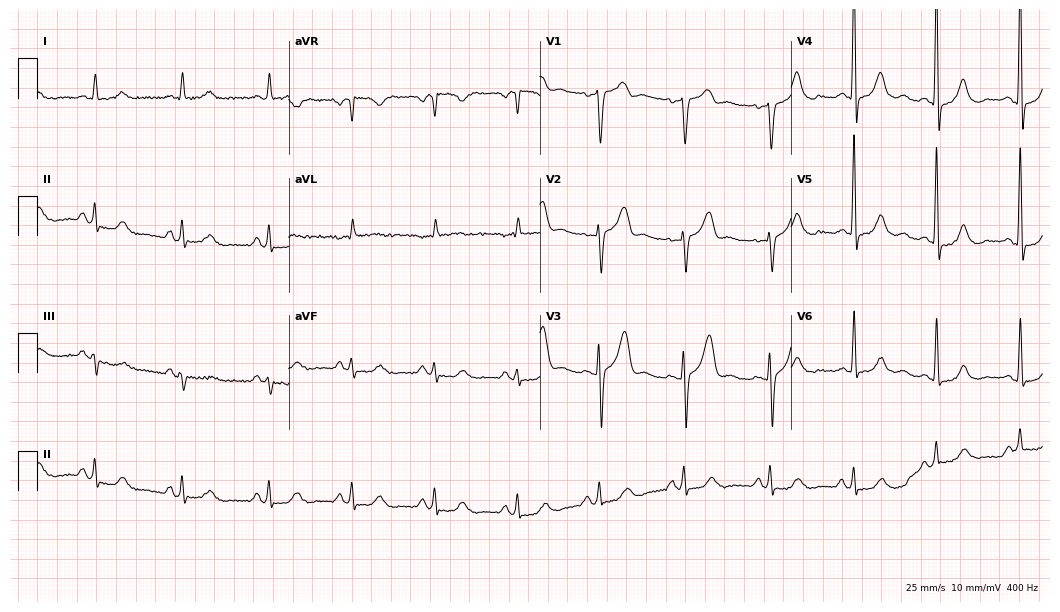
12-lead ECG from an 83-year-old male (10.2-second recording at 400 Hz). No first-degree AV block, right bundle branch block, left bundle branch block, sinus bradycardia, atrial fibrillation or sinus tachycardia recorded for this tracing. Other findings, if any, are not listed.